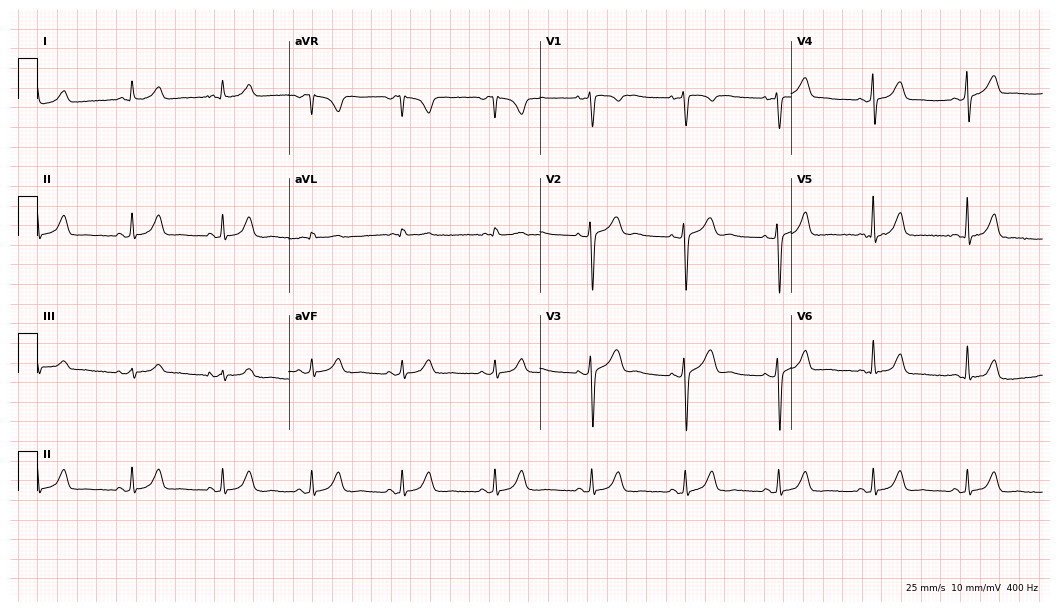
Standard 12-lead ECG recorded from a 35-year-old female (10.2-second recording at 400 Hz). Read as a normal ECG.